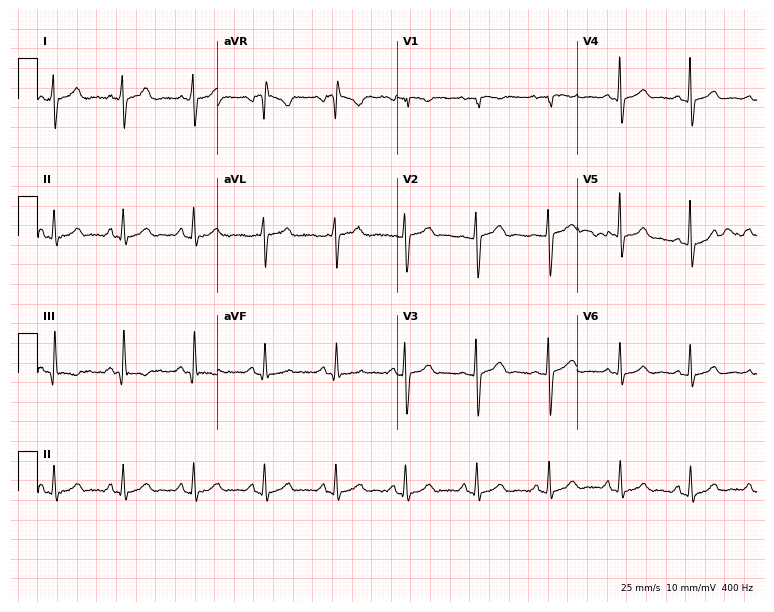
Resting 12-lead electrocardiogram. Patient: a 48-year-old female. Read as a normal ECG.